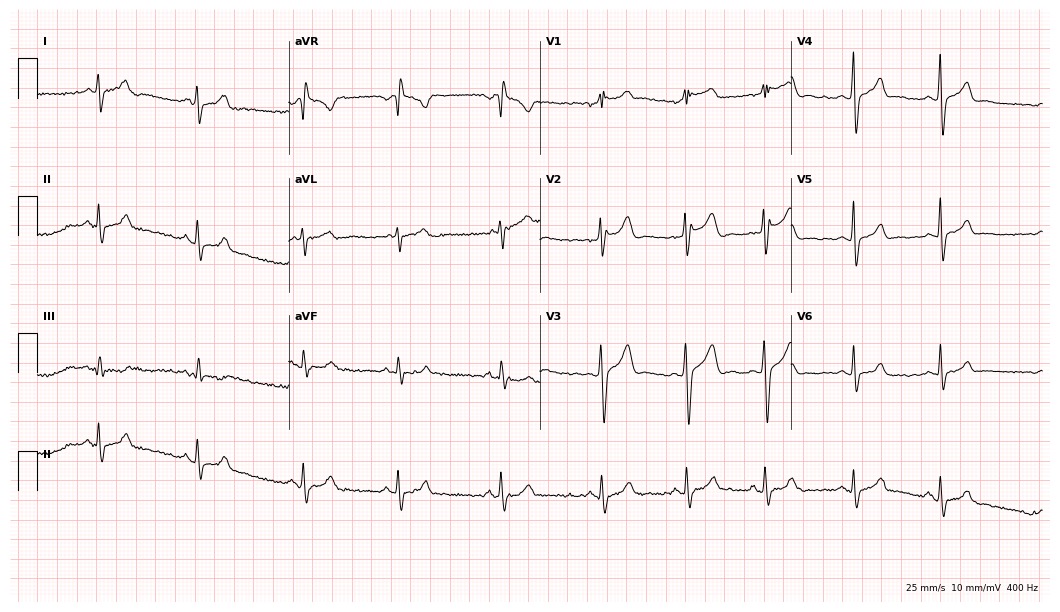
12-lead ECG (10.2-second recording at 400 Hz) from a 20-year-old man. Screened for six findings — first-degree AV block, right bundle branch block, left bundle branch block, sinus bradycardia, atrial fibrillation, sinus tachycardia — none is recorded.